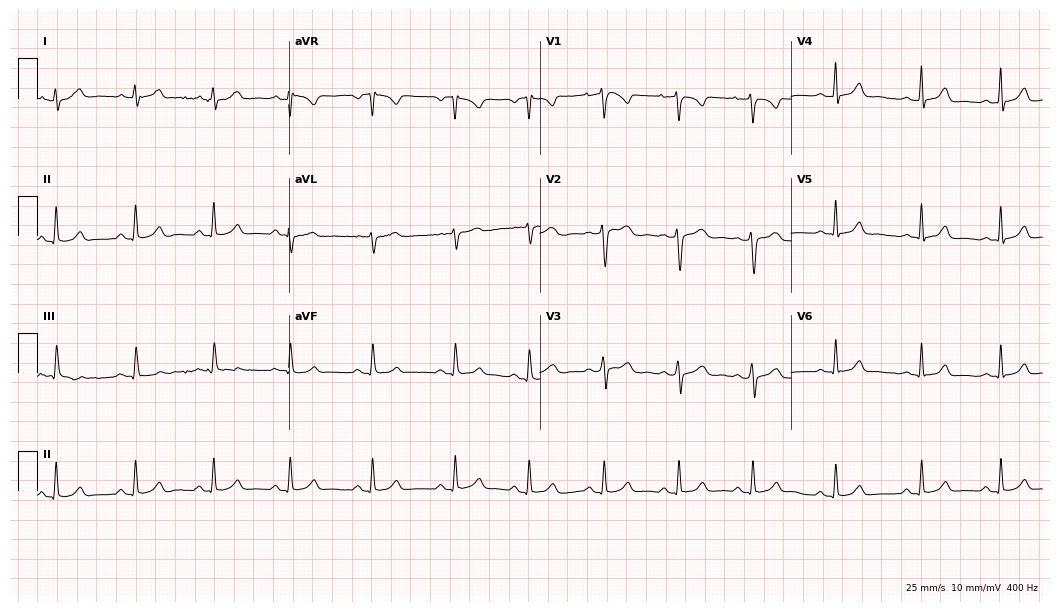
ECG (10.2-second recording at 400 Hz) — a female patient, 27 years old. Labelled as a normal ECG.